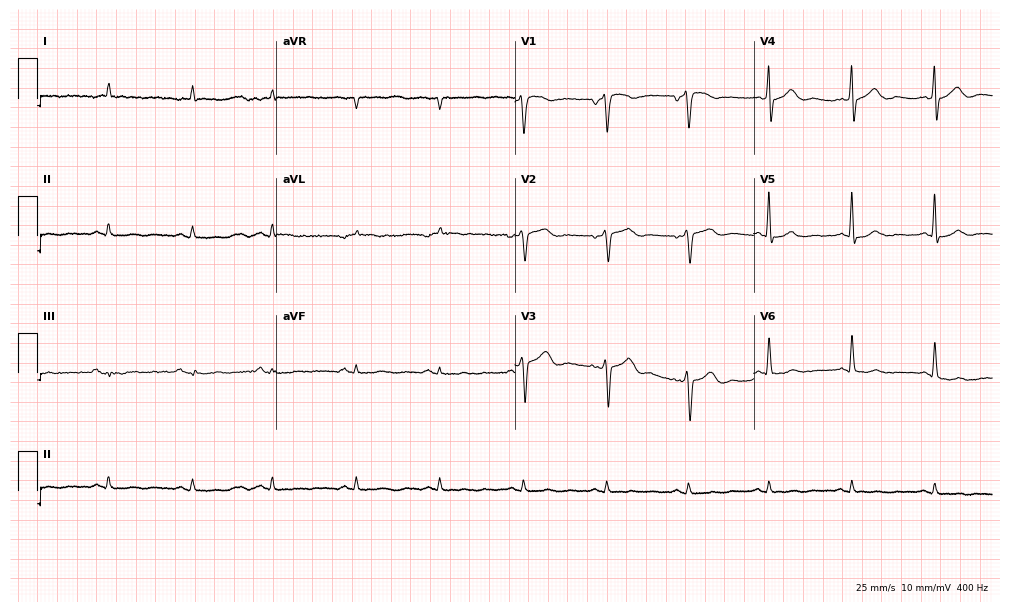
Resting 12-lead electrocardiogram. Patient: a 66-year-old male. Read as a normal ECG.